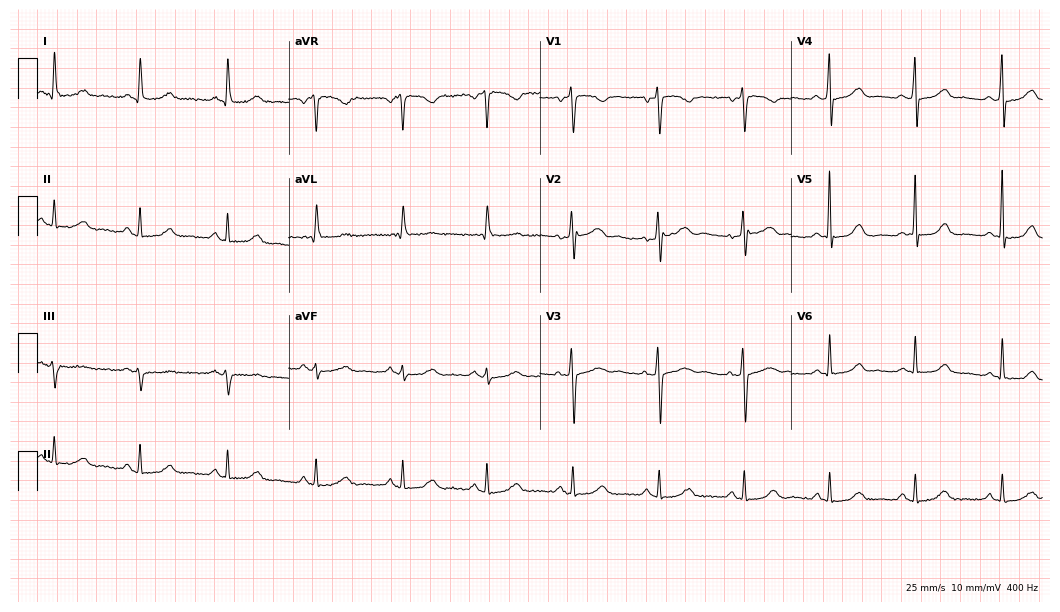
Electrocardiogram, a male, 67 years old. Overall reading on record: normal ECG.